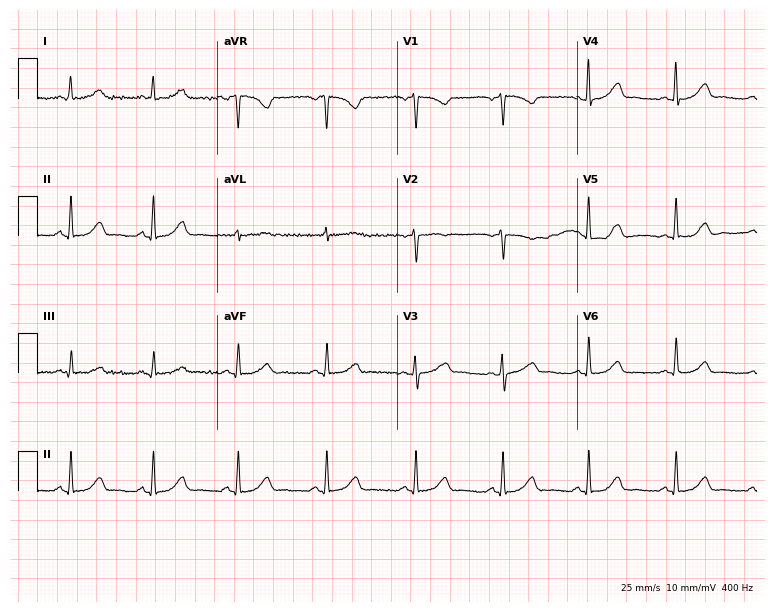
12-lead ECG from a female, 61 years old (7.3-second recording at 400 Hz). No first-degree AV block, right bundle branch block, left bundle branch block, sinus bradycardia, atrial fibrillation or sinus tachycardia recorded for this tracing.